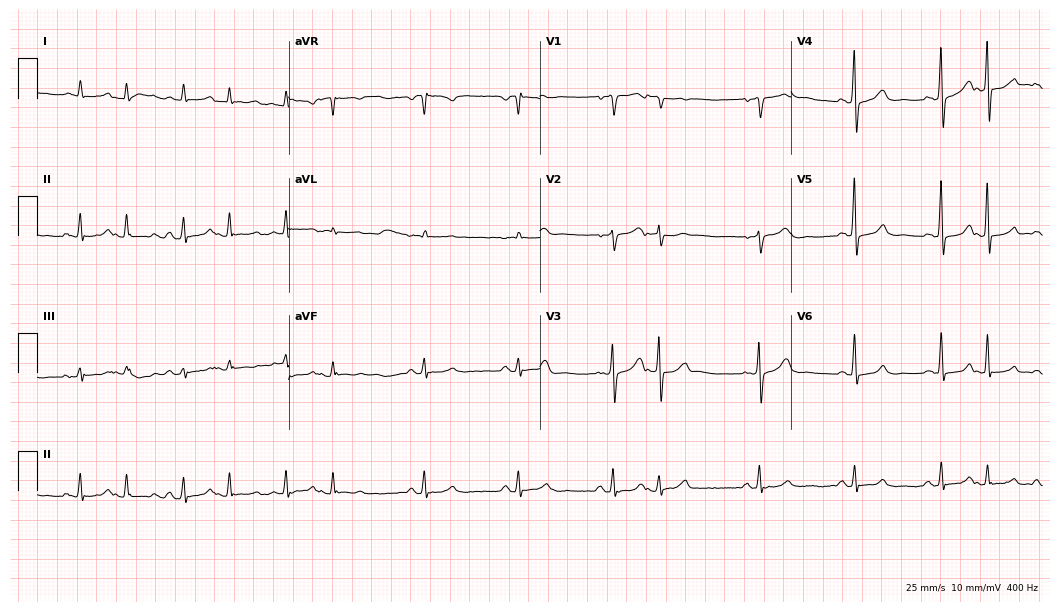
Standard 12-lead ECG recorded from a woman, 81 years old. None of these six findings is recorded: first-degree AV block, right bundle branch block, left bundle branch block, sinus bradycardia, atrial fibrillation, sinus tachycardia. Findings outside these six are not listed.